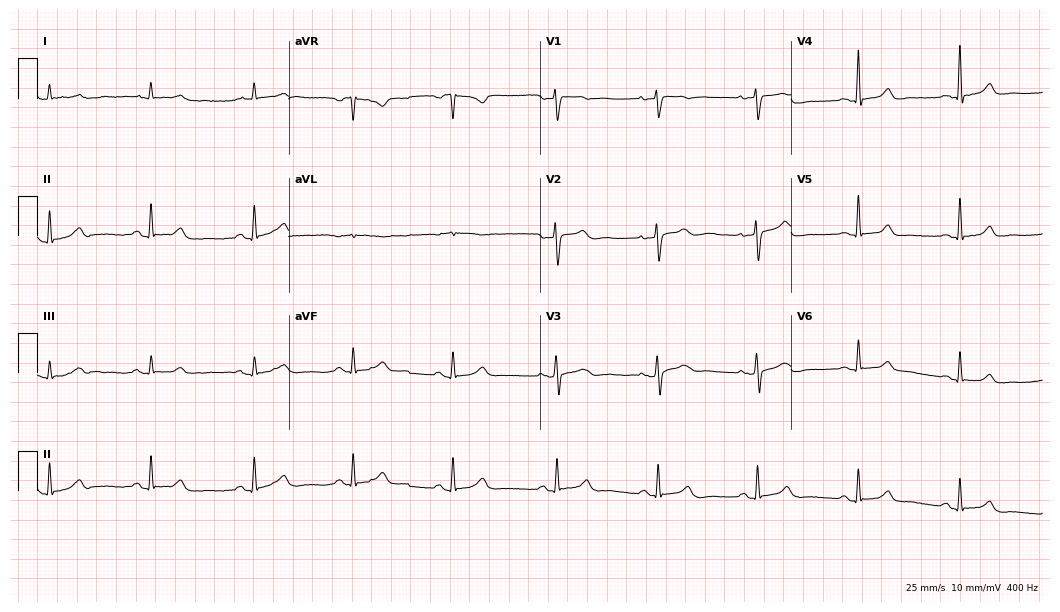
Electrocardiogram, a 49-year-old female. Of the six screened findings (first-degree AV block, right bundle branch block (RBBB), left bundle branch block (LBBB), sinus bradycardia, atrial fibrillation (AF), sinus tachycardia), none is recorded. Other findings, if any, are not listed.